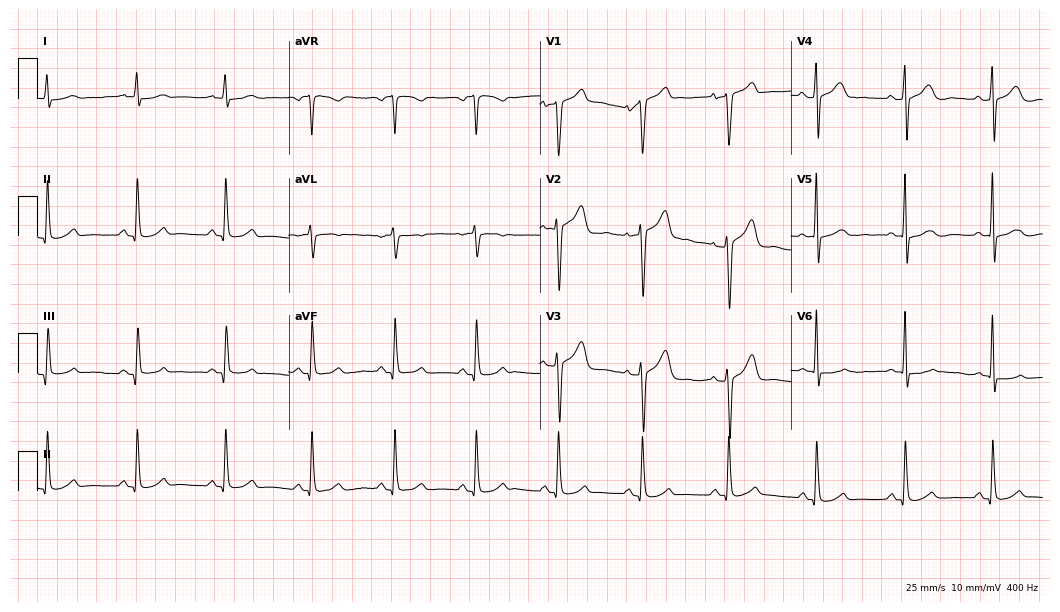
Resting 12-lead electrocardiogram. Patient: a 47-year-old male. Read as a normal ECG.